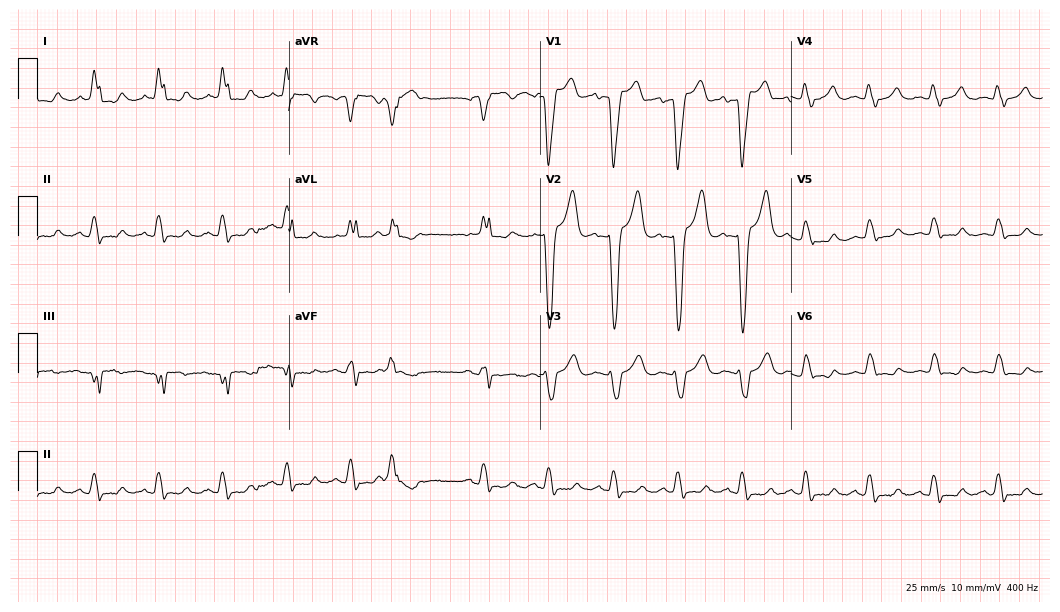
12-lead ECG from a female patient, 79 years old (10.2-second recording at 400 Hz). Shows left bundle branch block.